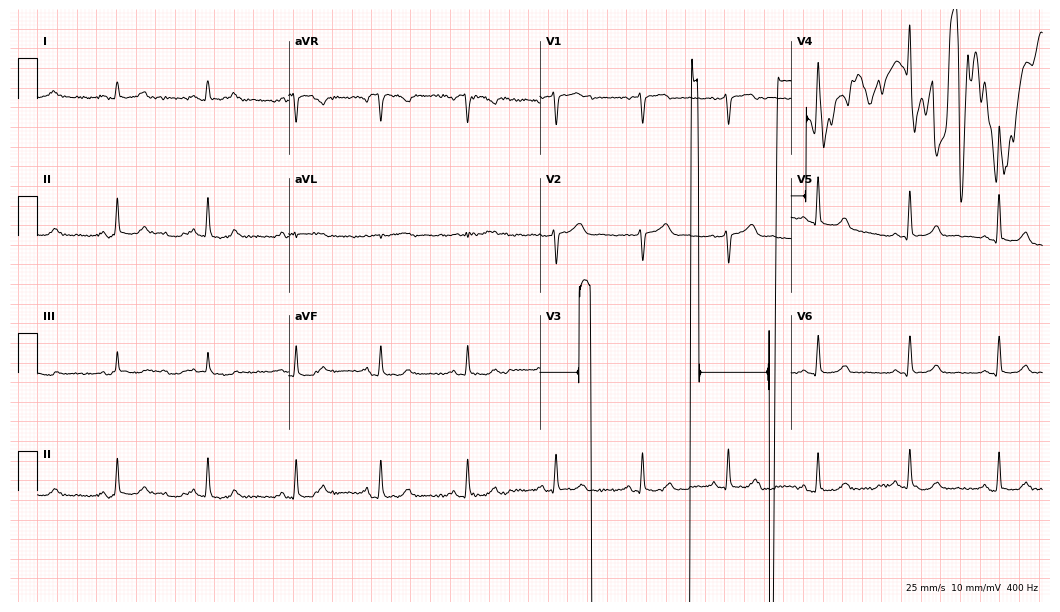
12-lead ECG from a female patient, 61 years old. Screened for six findings — first-degree AV block, right bundle branch block (RBBB), left bundle branch block (LBBB), sinus bradycardia, atrial fibrillation (AF), sinus tachycardia — none is recorded. Other findings, if any, are not listed.